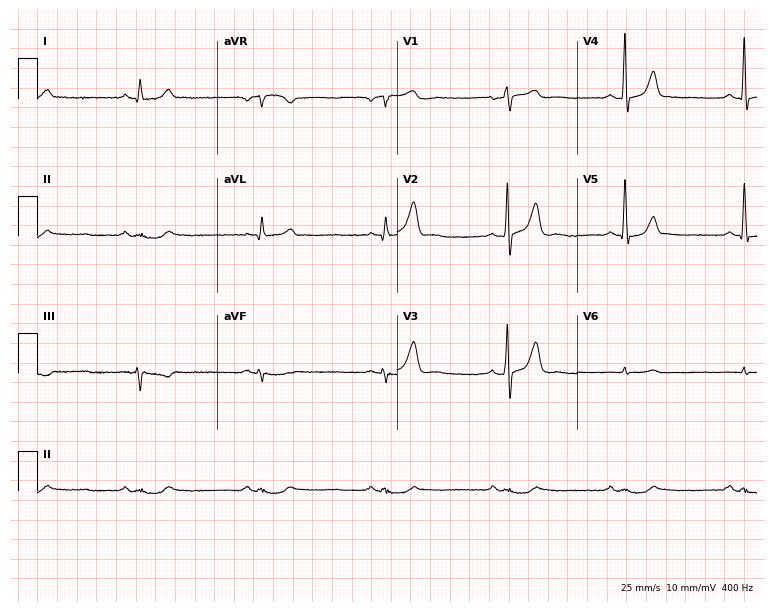
Standard 12-lead ECG recorded from a male patient, 68 years old. The tracing shows sinus bradycardia (a sinus rate of 50 beats per minute or less).